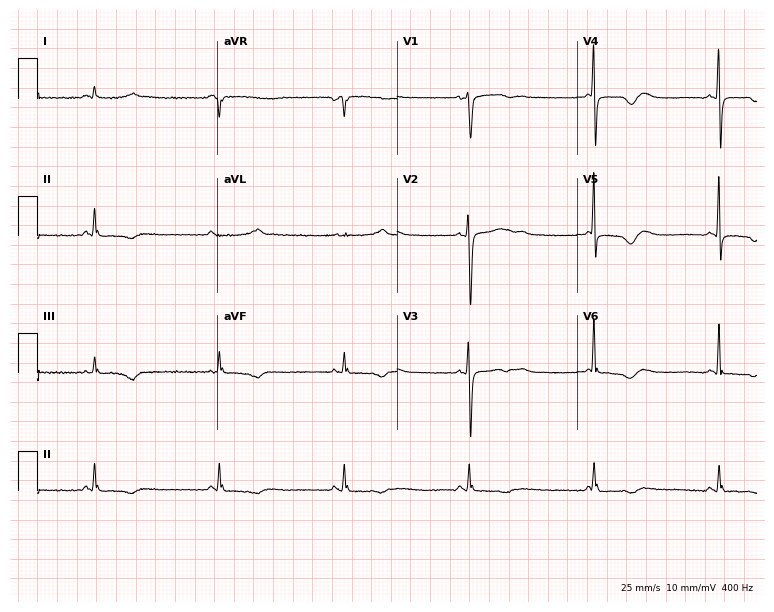
ECG — a female, 55 years old. Findings include sinus bradycardia (a sinus rate of 50 beats per minute or less).